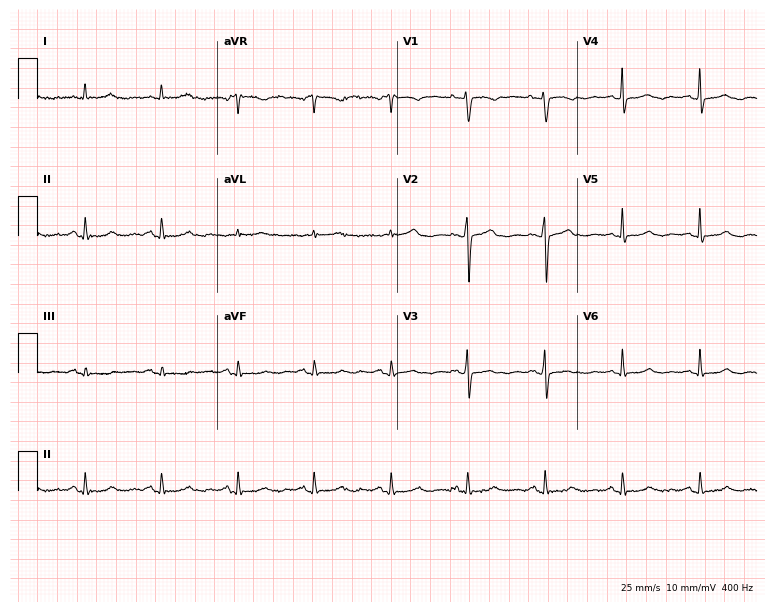
12-lead ECG (7.3-second recording at 400 Hz) from a female patient, 62 years old. Screened for six findings — first-degree AV block, right bundle branch block, left bundle branch block, sinus bradycardia, atrial fibrillation, sinus tachycardia — none is recorded. Findings outside these six are not listed.